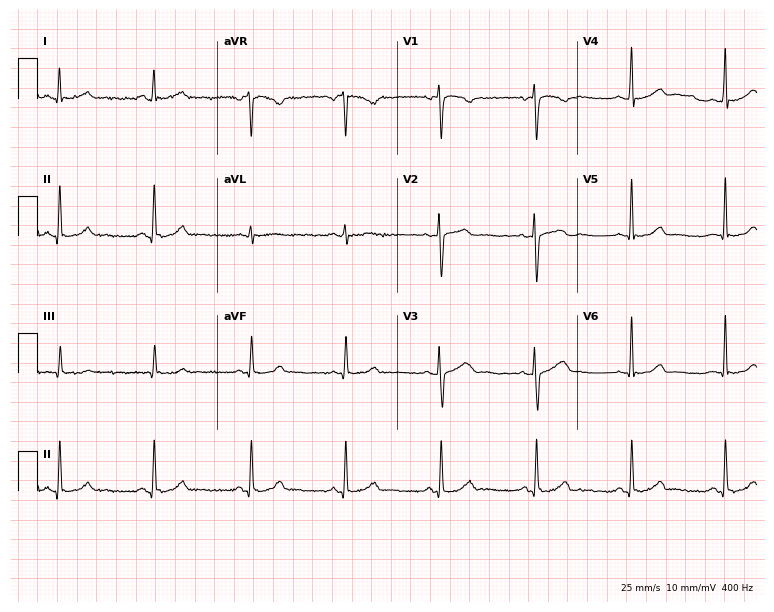
Electrocardiogram, a female patient, 30 years old. Overall reading on record: normal ECG.